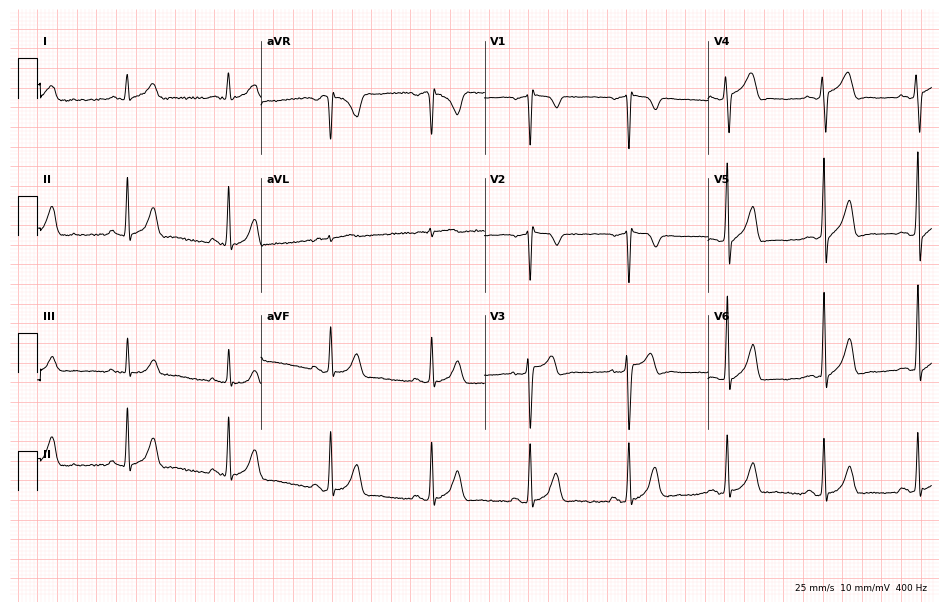
ECG — a 52-year-old male. Screened for six findings — first-degree AV block, right bundle branch block (RBBB), left bundle branch block (LBBB), sinus bradycardia, atrial fibrillation (AF), sinus tachycardia — none is recorded.